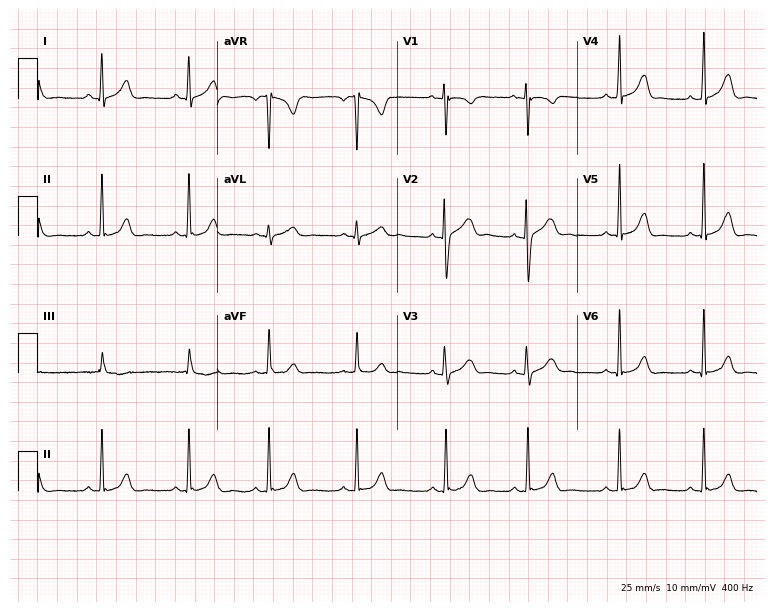
12-lead ECG from a female, 23 years old. Labelled as a normal ECG.